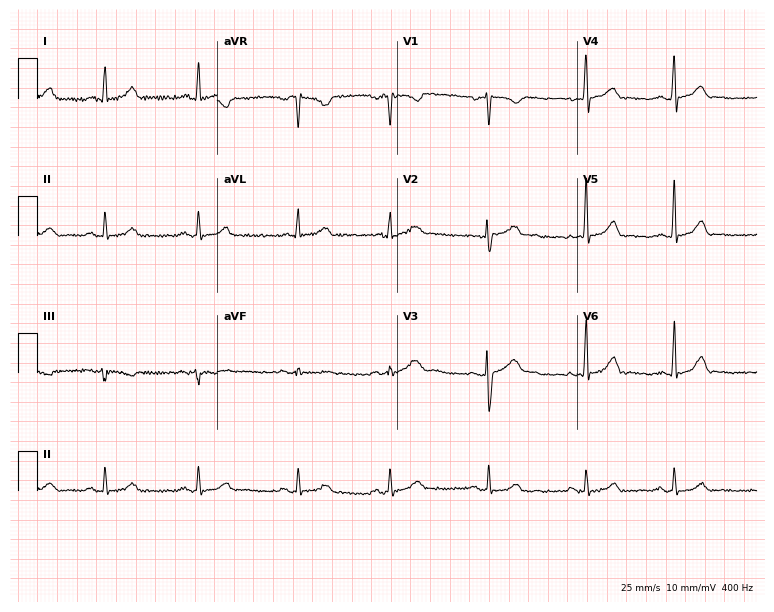
ECG — a woman, 27 years old. Screened for six findings — first-degree AV block, right bundle branch block, left bundle branch block, sinus bradycardia, atrial fibrillation, sinus tachycardia — none is recorded.